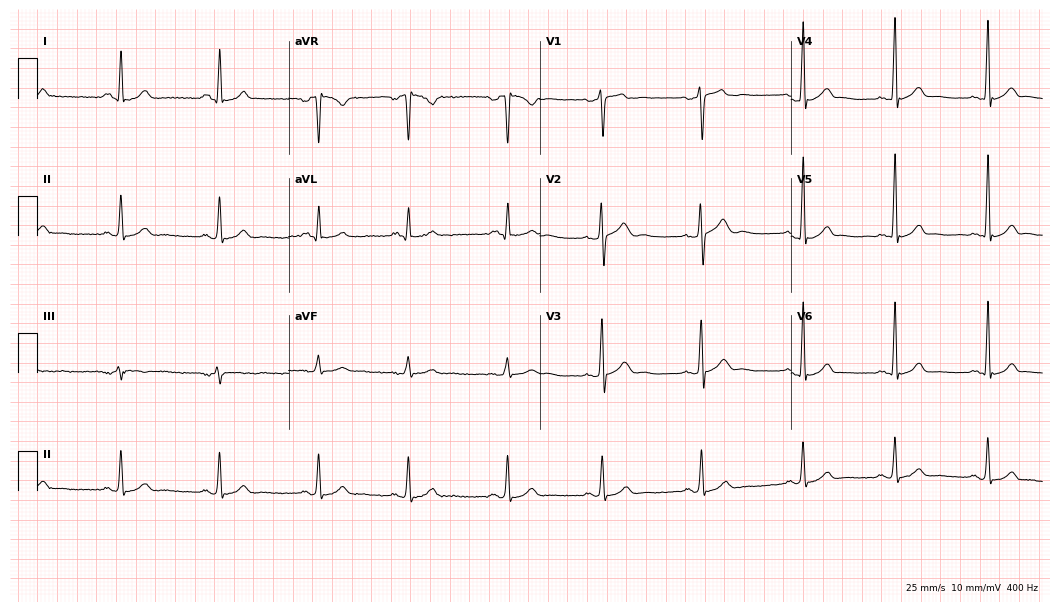
ECG (10.2-second recording at 400 Hz) — a 20-year-old man. Labelled as a normal ECG.